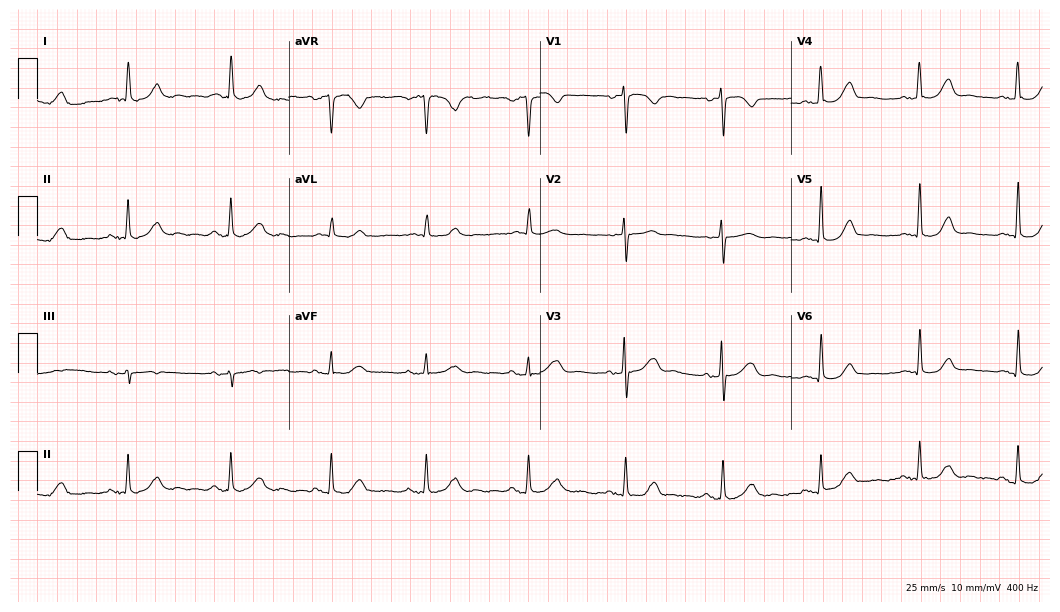
Electrocardiogram (10.2-second recording at 400 Hz), a female, 80 years old. Overall reading on record: normal ECG.